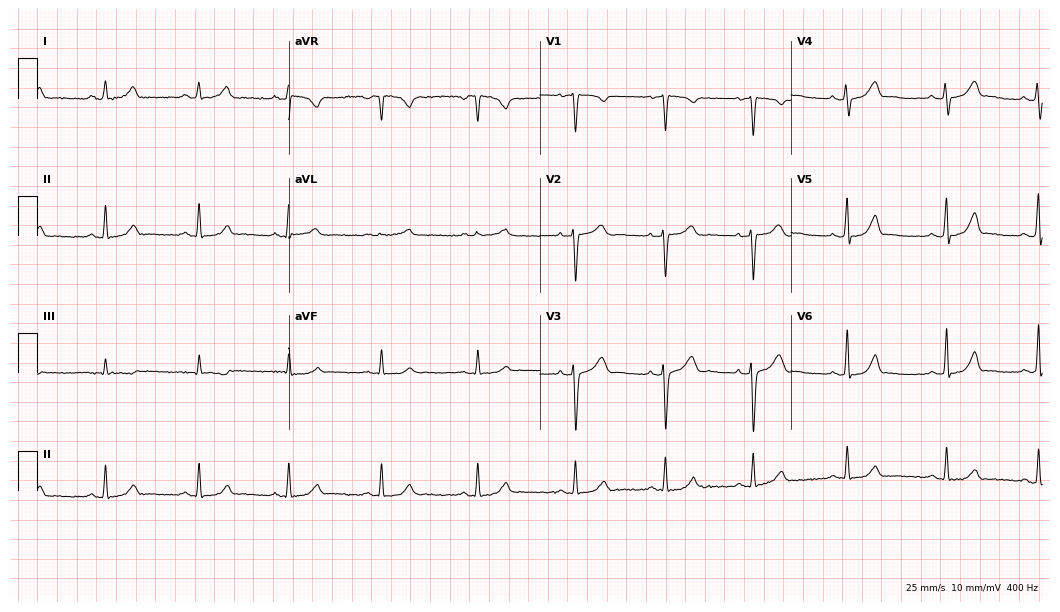
Resting 12-lead electrocardiogram (10.2-second recording at 400 Hz). Patient: a 32-year-old woman. Read as a normal ECG.